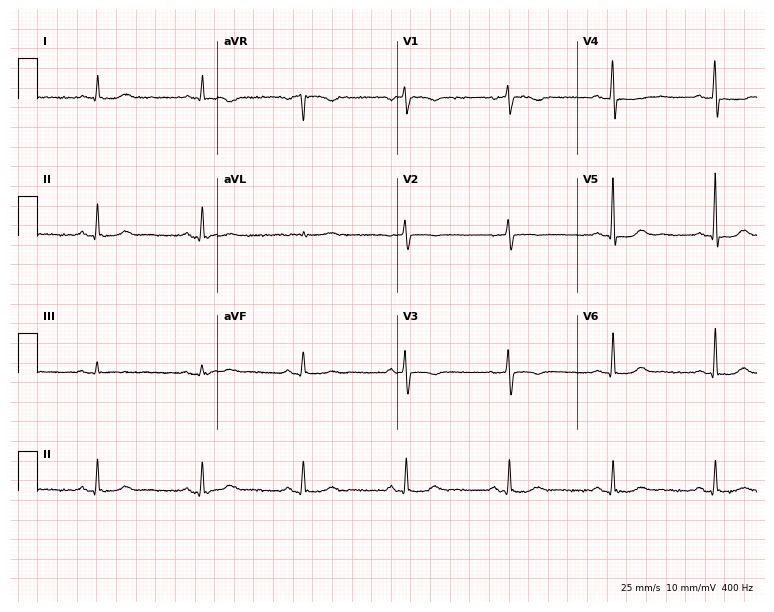
ECG — a female patient, 77 years old. Screened for six findings — first-degree AV block, right bundle branch block, left bundle branch block, sinus bradycardia, atrial fibrillation, sinus tachycardia — none is recorded. Findings outside these six are not listed.